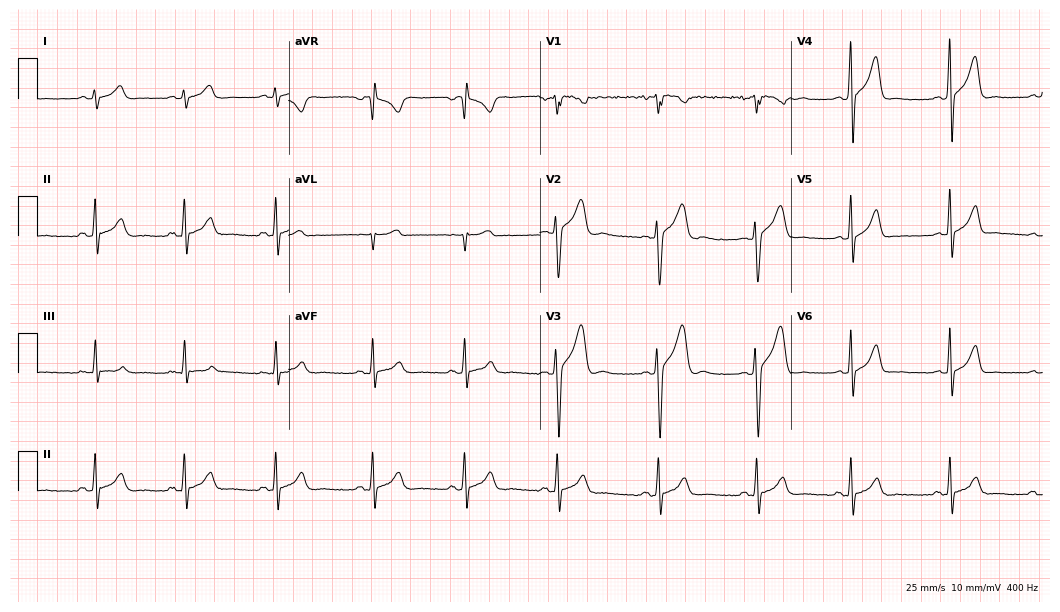
Standard 12-lead ECG recorded from a male, 19 years old. Read as a normal ECG.